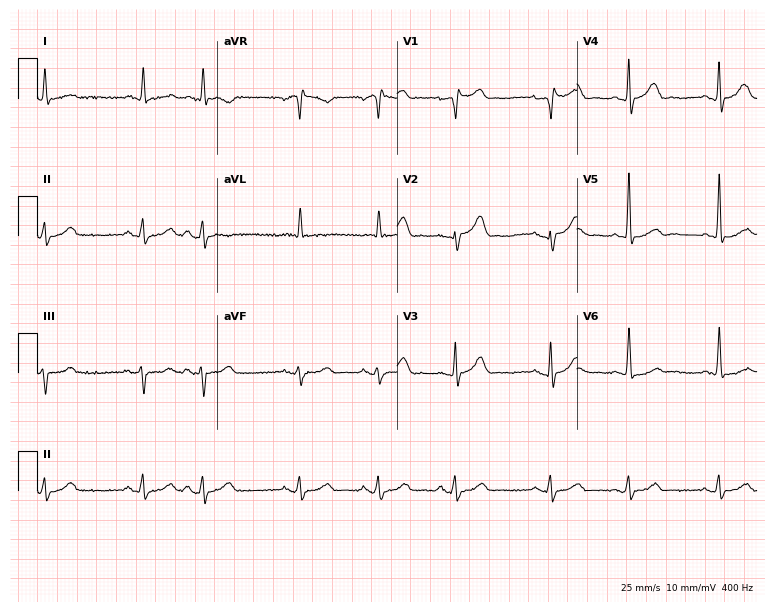
12-lead ECG from a male patient, 80 years old. No first-degree AV block, right bundle branch block, left bundle branch block, sinus bradycardia, atrial fibrillation or sinus tachycardia recorded for this tracing.